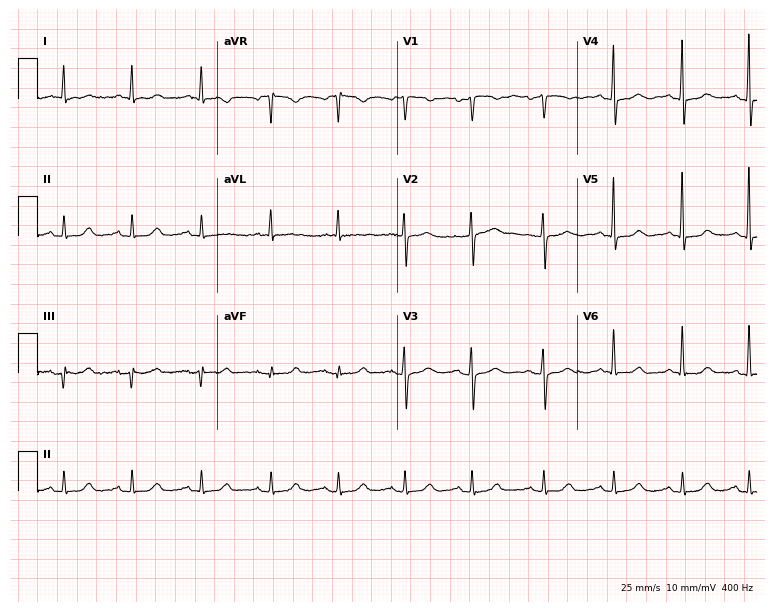
12-lead ECG from a 72-year-old female (7.3-second recording at 400 Hz). Recorded interpretation: within normal limits.